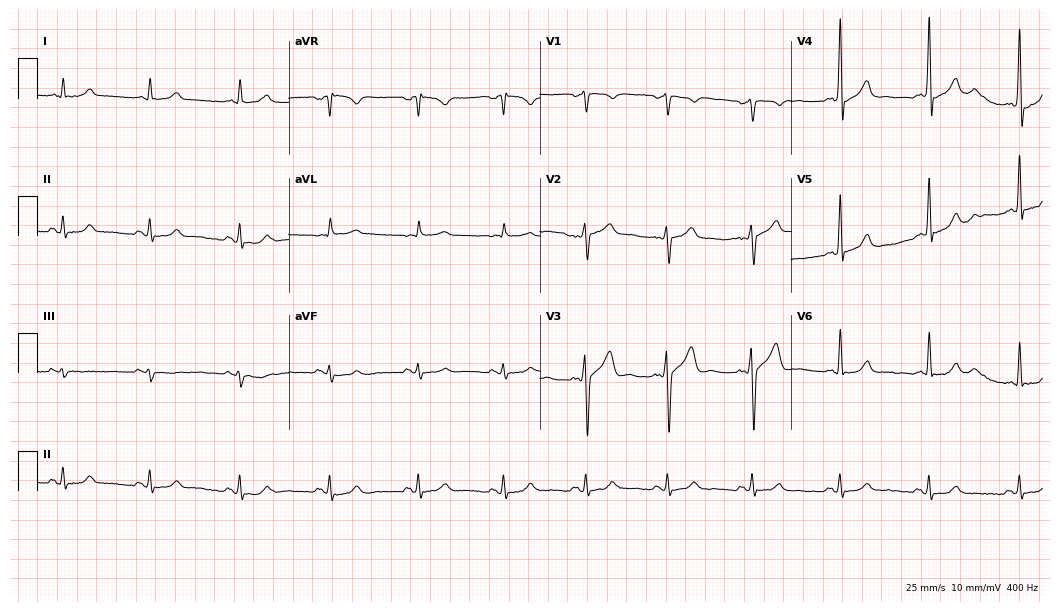
Resting 12-lead electrocardiogram. Patient: a male, 38 years old. Read as a normal ECG.